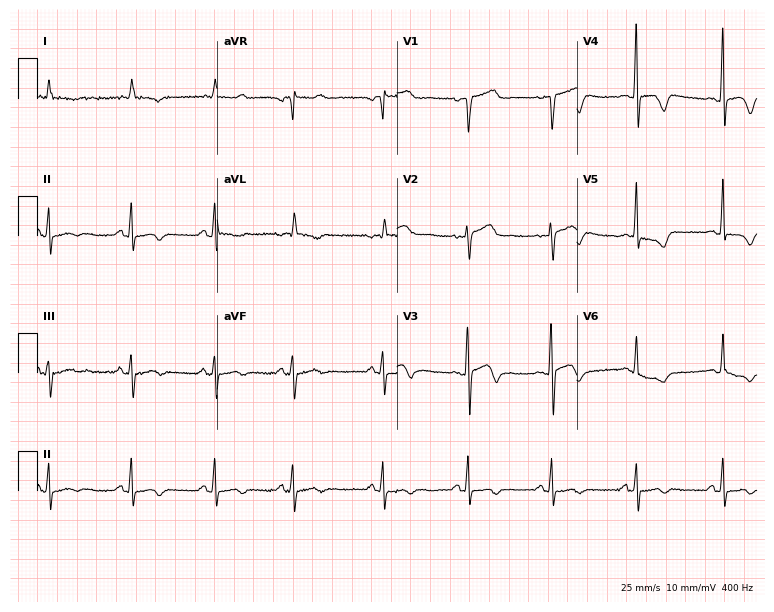
12-lead ECG from a 77-year-old female. Screened for six findings — first-degree AV block, right bundle branch block, left bundle branch block, sinus bradycardia, atrial fibrillation, sinus tachycardia — none is recorded. Other findings, if any, are not listed.